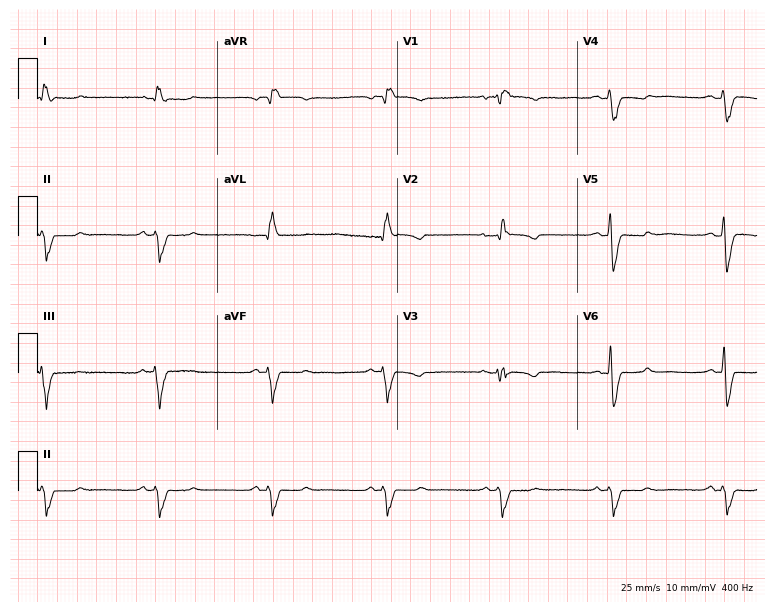
12-lead ECG from a female, 70 years old. Shows right bundle branch block (RBBB).